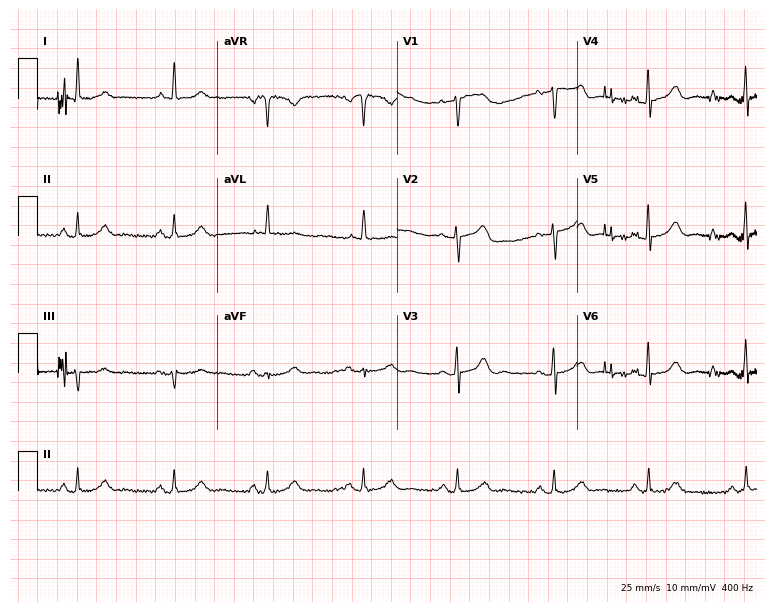
Resting 12-lead electrocardiogram. Patient: a 70-year-old female. Read as a normal ECG.